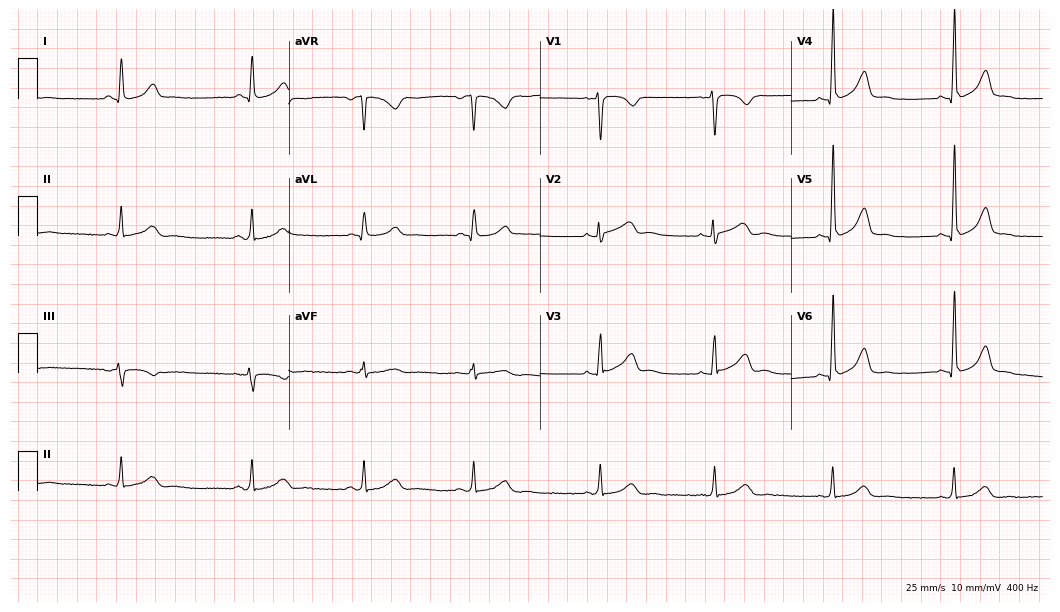
12-lead ECG from a female patient, 52 years old (10.2-second recording at 400 Hz). Recorded interpretation: within normal limits.